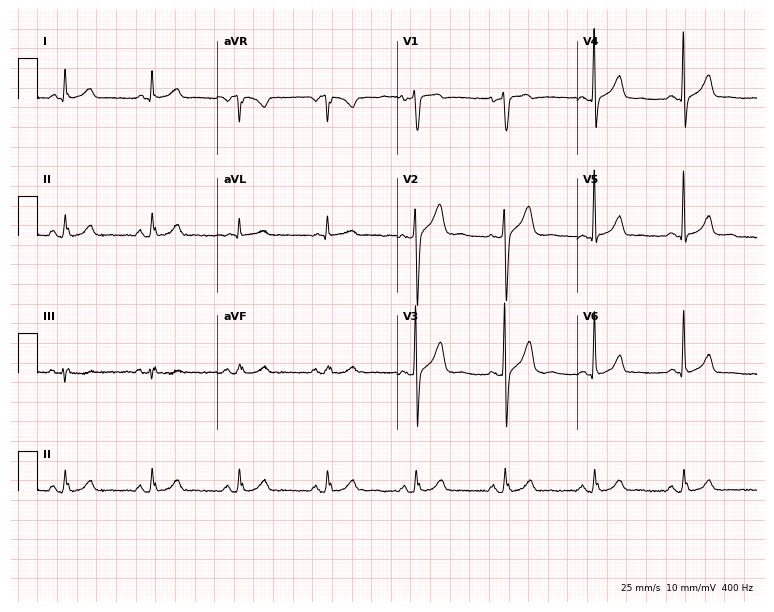
ECG — a male, 48 years old. Labelled as a normal ECG.